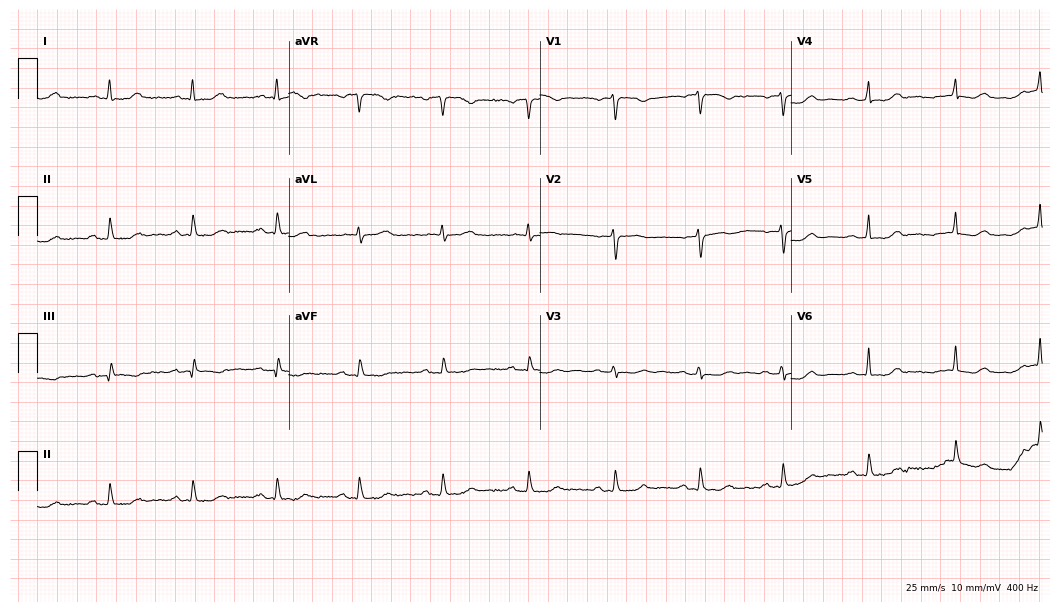
Standard 12-lead ECG recorded from a 55-year-old woman (10.2-second recording at 400 Hz). None of these six findings is recorded: first-degree AV block, right bundle branch block, left bundle branch block, sinus bradycardia, atrial fibrillation, sinus tachycardia. Only these six findings were labelled.